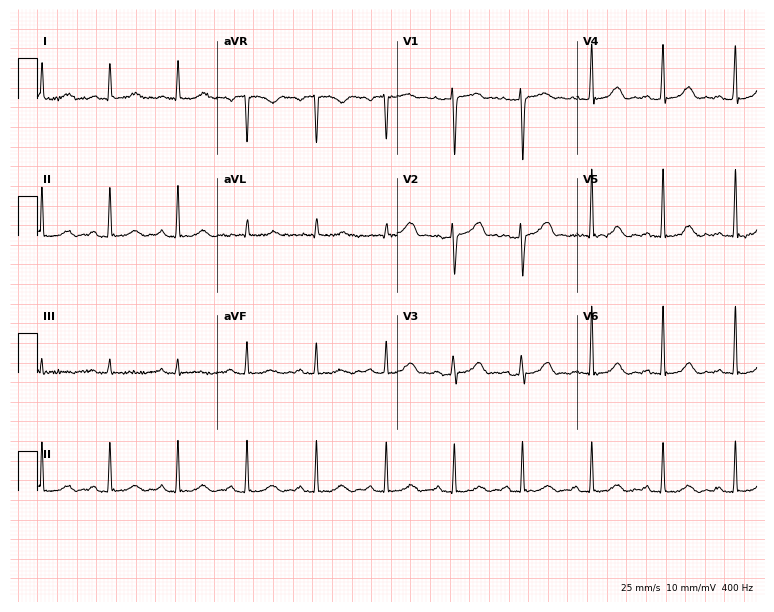
Standard 12-lead ECG recorded from a 51-year-old female. Read as a normal ECG.